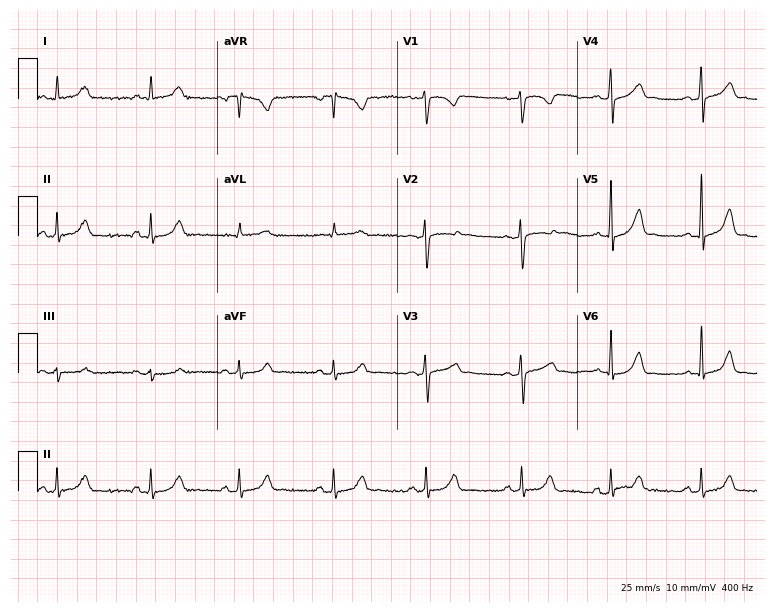
Electrocardiogram (7.3-second recording at 400 Hz), a 31-year-old female. Of the six screened findings (first-degree AV block, right bundle branch block (RBBB), left bundle branch block (LBBB), sinus bradycardia, atrial fibrillation (AF), sinus tachycardia), none is recorded.